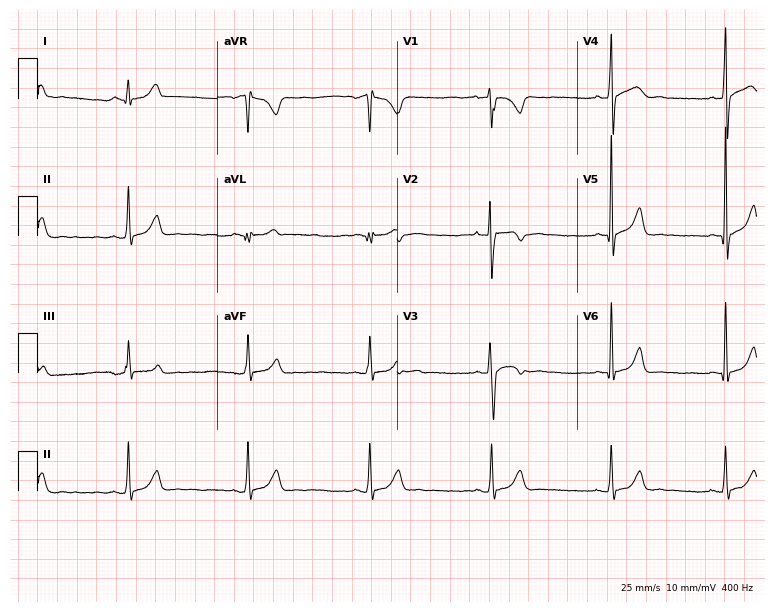
12-lead ECG (7.3-second recording at 400 Hz) from a 23-year-old male patient. Findings include sinus bradycardia (a sinus rate of 50 beats per minute or less).